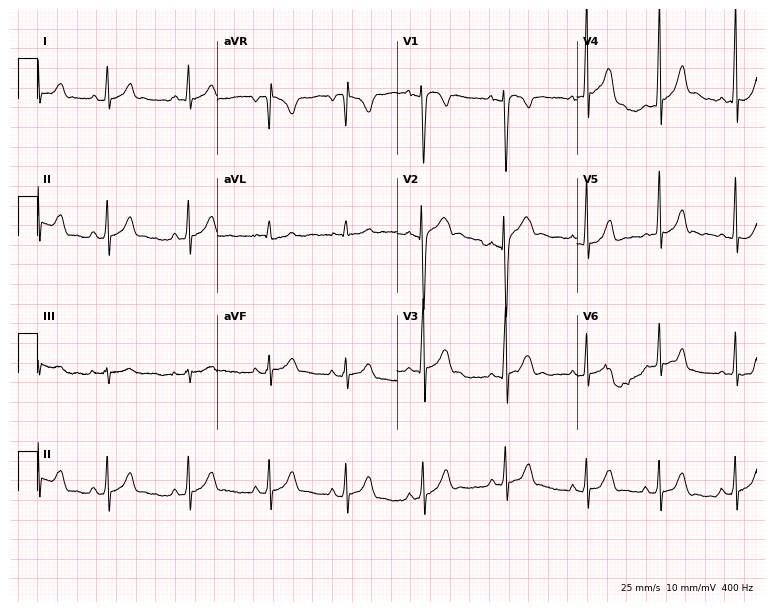
12-lead ECG from a 17-year-old male (7.3-second recording at 400 Hz). Recorded interpretation: within normal limits.